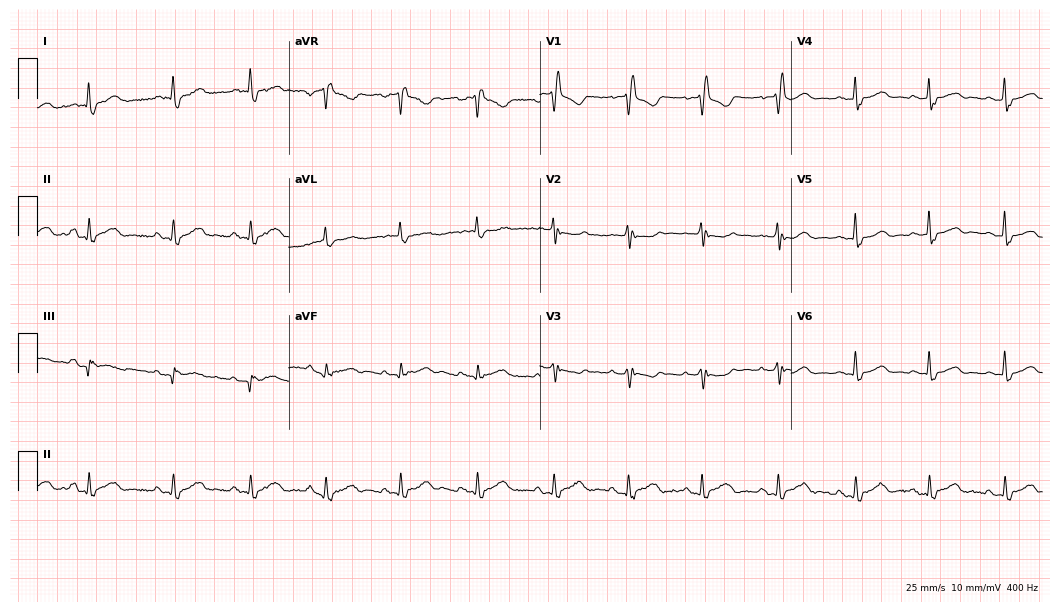
Resting 12-lead electrocardiogram. Patient: a 71-year-old woman. The tracing shows right bundle branch block.